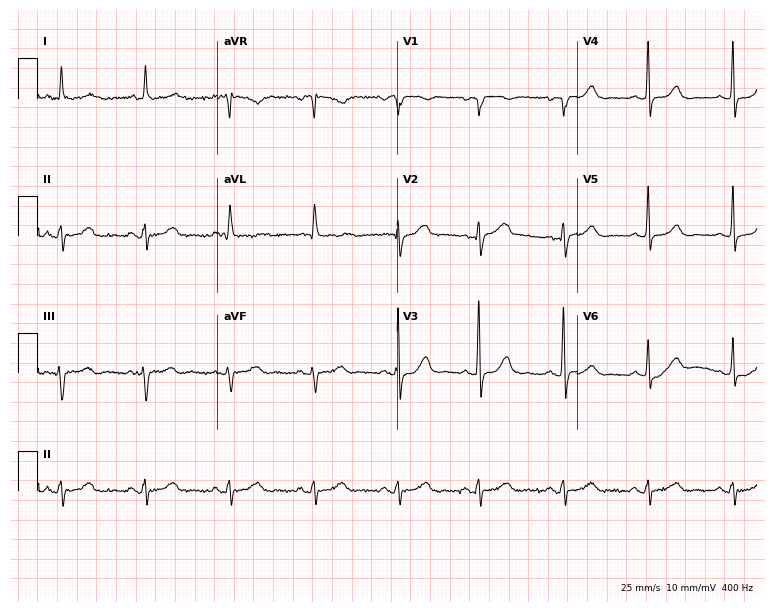
ECG (7.3-second recording at 400 Hz) — a woman, 75 years old. Screened for six findings — first-degree AV block, right bundle branch block, left bundle branch block, sinus bradycardia, atrial fibrillation, sinus tachycardia — none is recorded. Other findings, if any, are not listed.